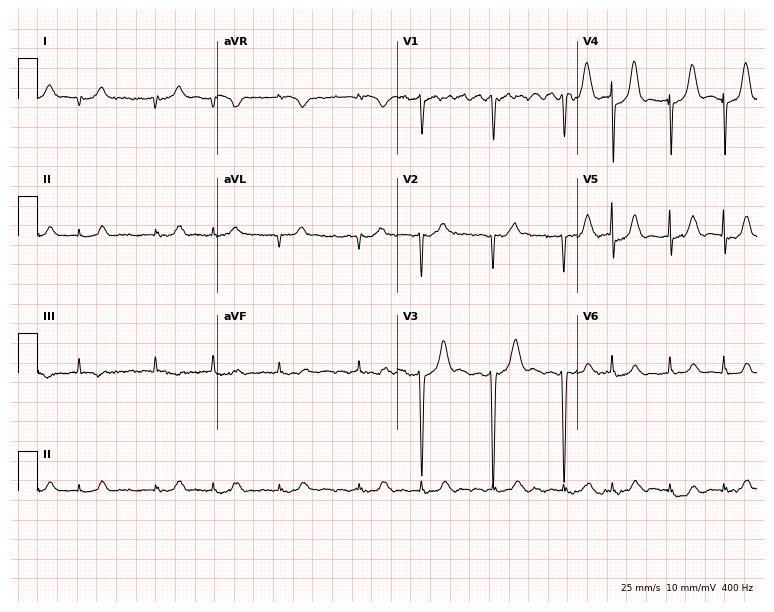
Resting 12-lead electrocardiogram. Patient: a 68-year-old male. The tracing shows atrial fibrillation.